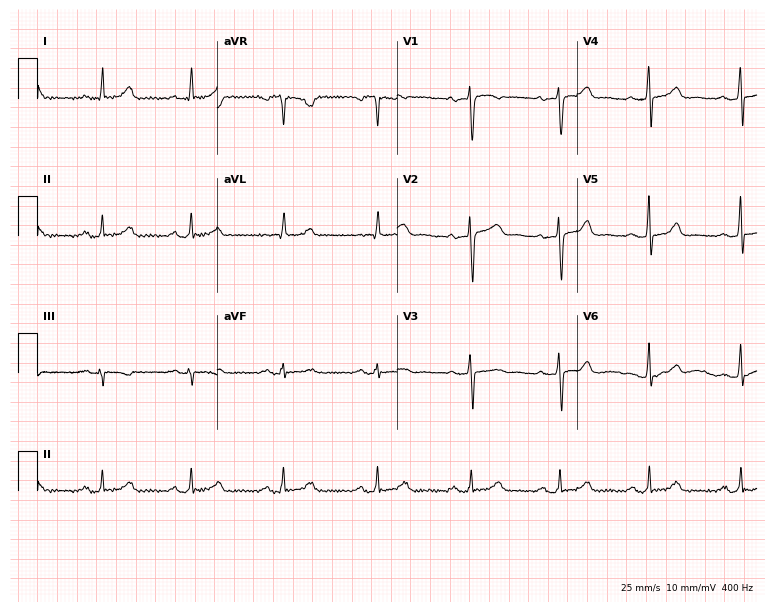
Resting 12-lead electrocardiogram (7.3-second recording at 400 Hz). Patient: a 58-year-old female. None of these six findings is recorded: first-degree AV block, right bundle branch block, left bundle branch block, sinus bradycardia, atrial fibrillation, sinus tachycardia. Other findings, if any, are not listed.